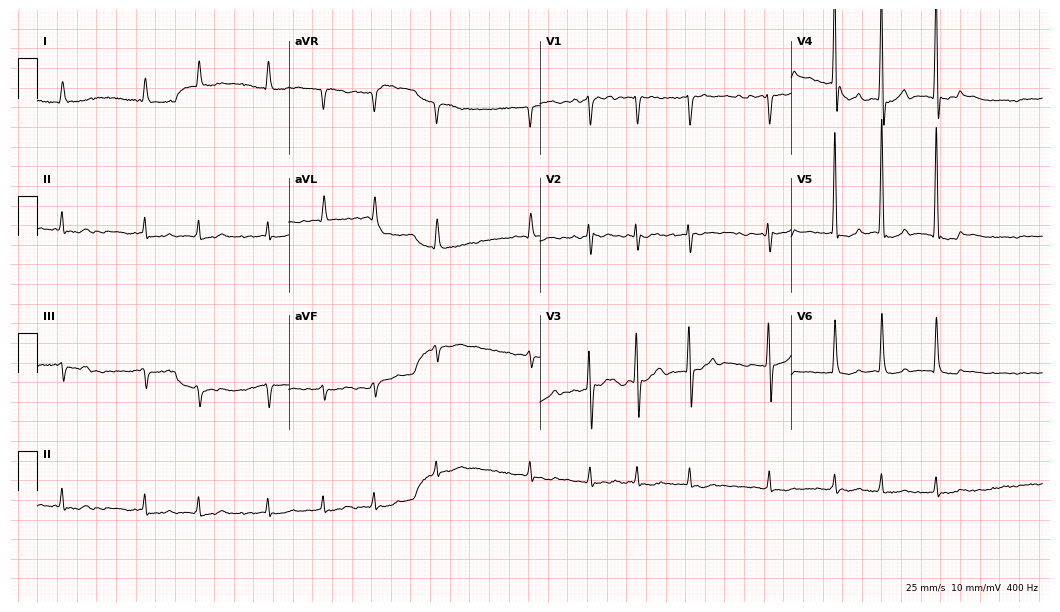
12-lead ECG from a man, 75 years old. Shows atrial fibrillation.